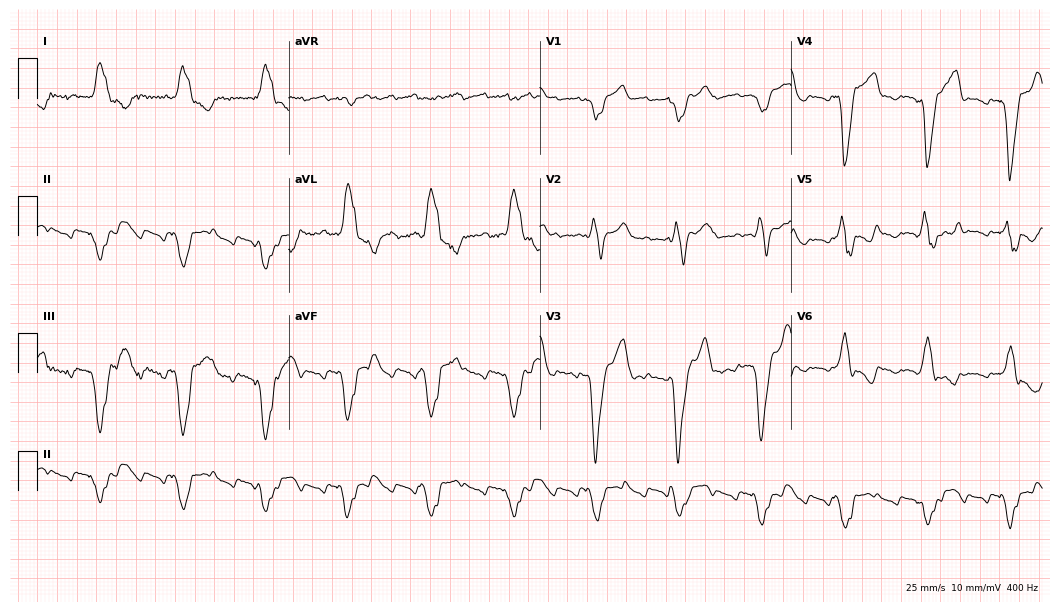
12-lead ECG from a male patient, 52 years old. No first-degree AV block, right bundle branch block, left bundle branch block, sinus bradycardia, atrial fibrillation or sinus tachycardia recorded for this tracing. Findings outside these six are not listed.